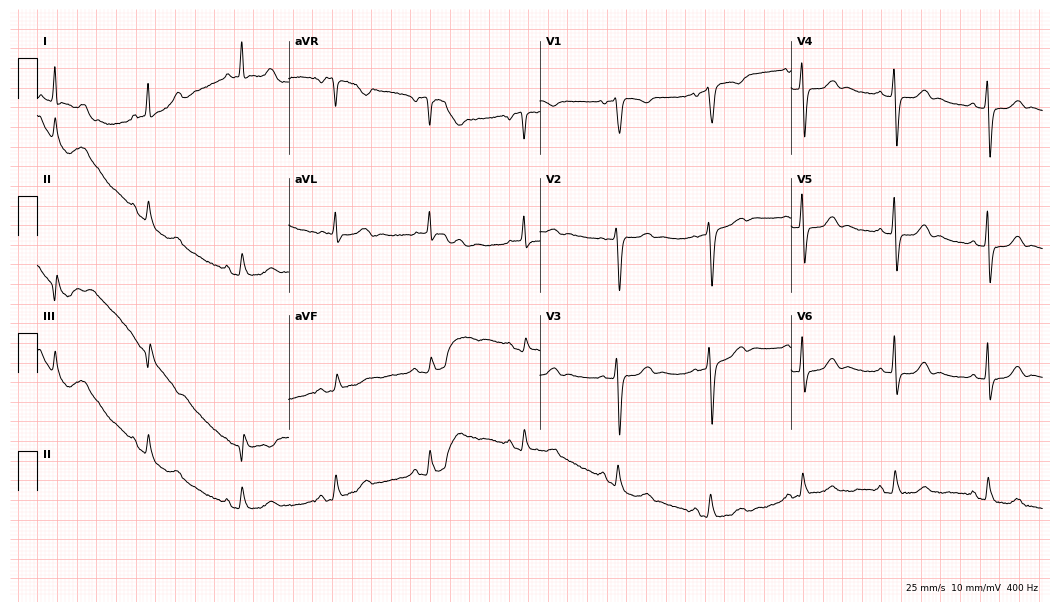
Electrocardiogram, a 63-year-old woman. Of the six screened findings (first-degree AV block, right bundle branch block (RBBB), left bundle branch block (LBBB), sinus bradycardia, atrial fibrillation (AF), sinus tachycardia), none is recorded. Only these six findings were labelled.